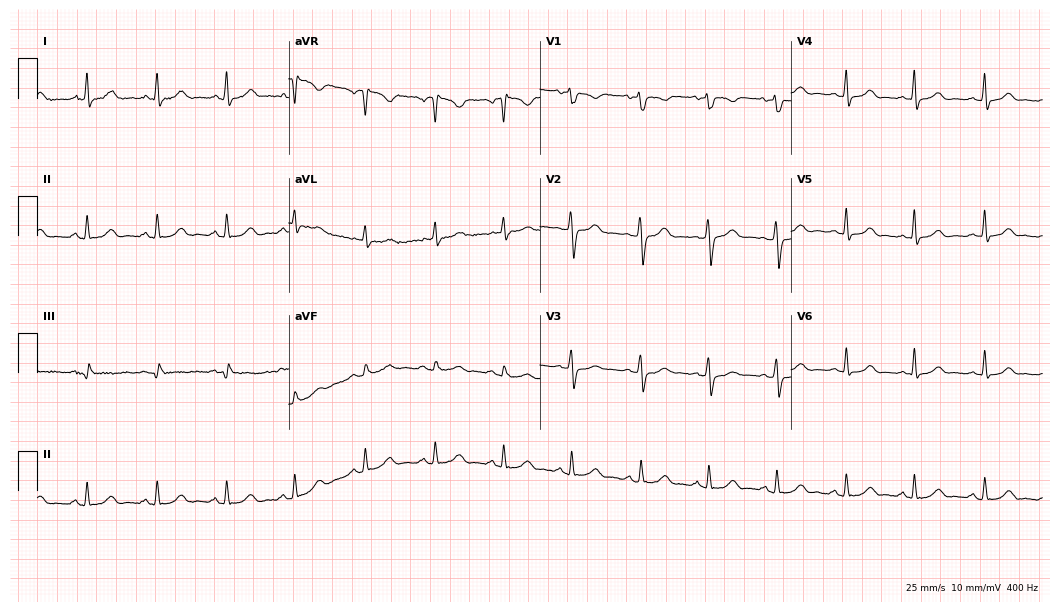
ECG (10.2-second recording at 400 Hz) — a woman, 37 years old. Labelled as a normal ECG.